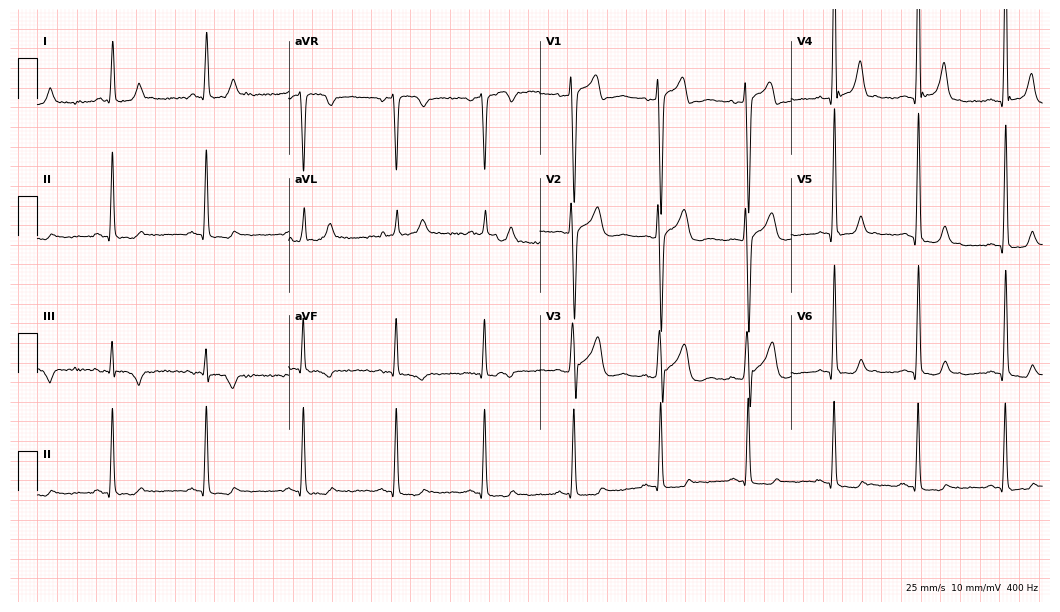
Standard 12-lead ECG recorded from a male, 37 years old (10.2-second recording at 400 Hz). None of these six findings is recorded: first-degree AV block, right bundle branch block (RBBB), left bundle branch block (LBBB), sinus bradycardia, atrial fibrillation (AF), sinus tachycardia. Other findings, if any, are not listed.